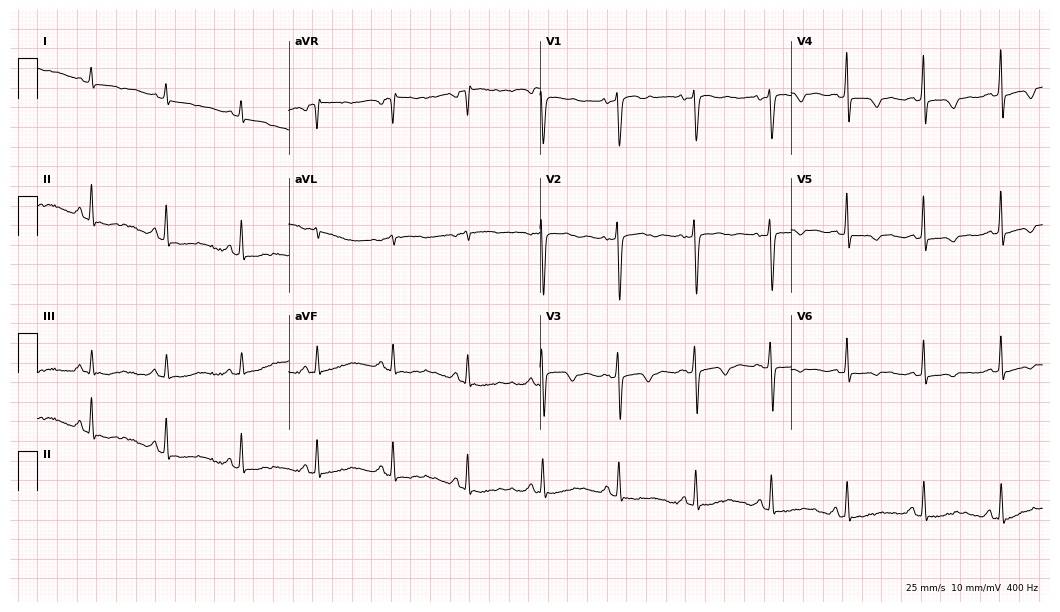
Electrocardiogram (10.2-second recording at 400 Hz), a 40-year-old female patient. Of the six screened findings (first-degree AV block, right bundle branch block, left bundle branch block, sinus bradycardia, atrial fibrillation, sinus tachycardia), none is recorded. Findings outside these six are not listed.